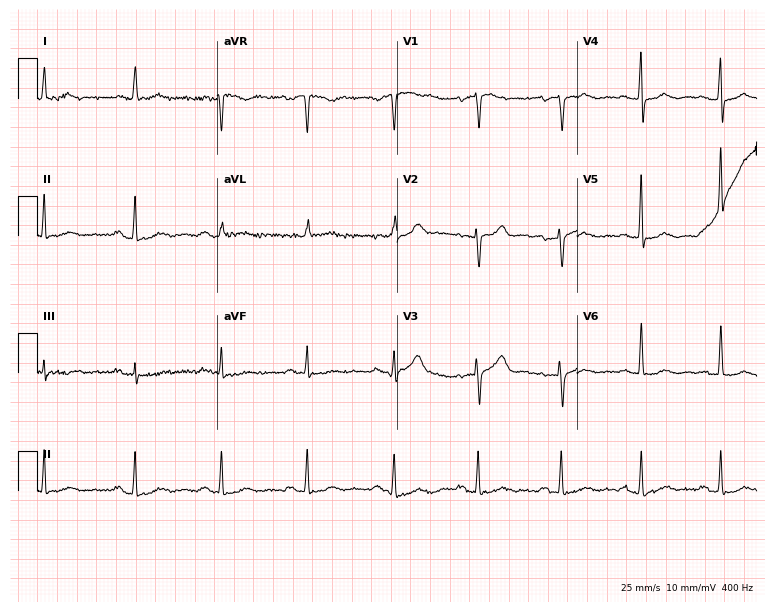
ECG (7.3-second recording at 400 Hz) — a 69-year-old female. Labelled as a normal ECG.